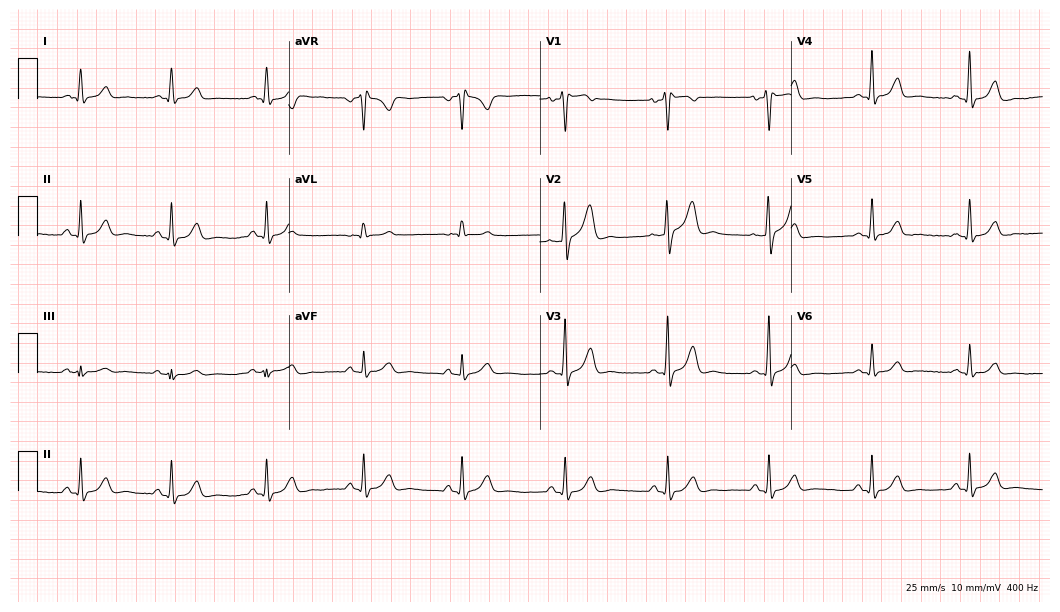
12-lead ECG from a 48-year-old male (10.2-second recording at 400 Hz). No first-degree AV block, right bundle branch block (RBBB), left bundle branch block (LBBB), sinus bradycardia, atrial fibrillation (AF) or sinus tachycardia recorded for this tracing.